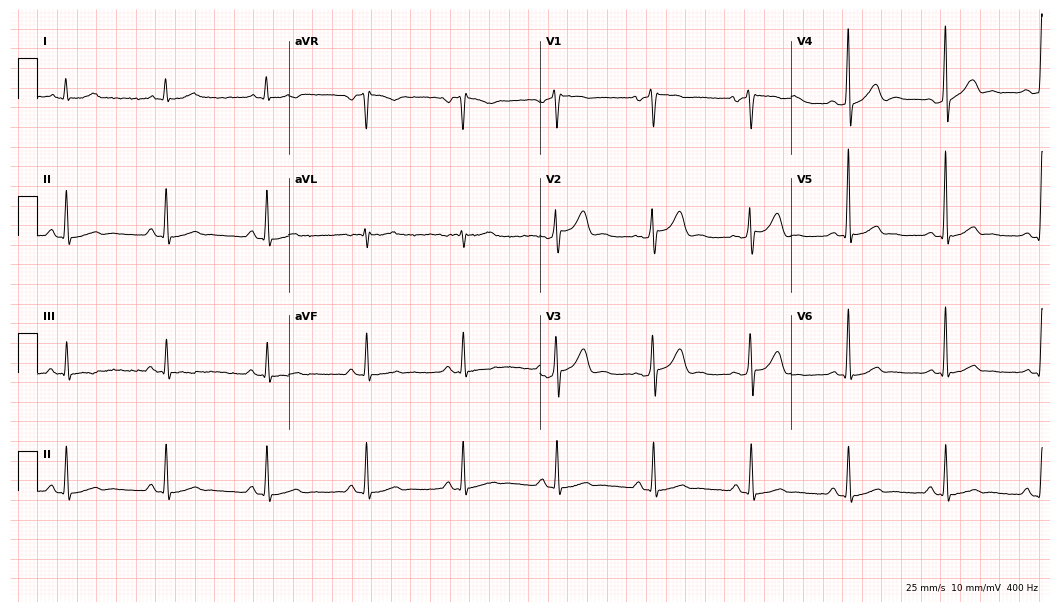
Resting 12-lead electrocardiogram. Patient: a man, 37 years old. None of these six findings is recorded: first-degree AV block, right bundle branch block, left bundle branch block, sinus bradycardia, atrial fibrillation, sinus tachycardia.